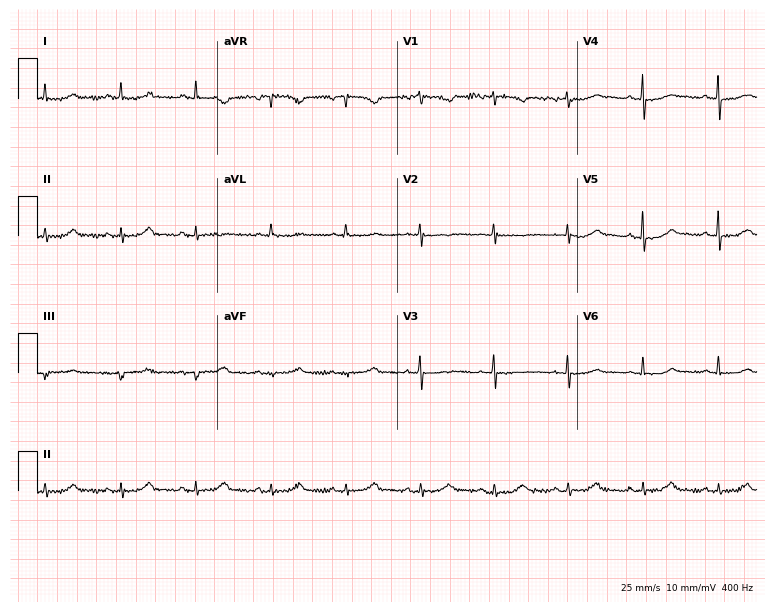
Resting 12-lead electrocardiogram (7.3-second recording at 400 Hz). Patient: a 70-year-old female. None of these six findings is recorded: first-degree AV block, right bundle branch block, left bundle branch block, sinus bradycardia, atrial fibrillation, sinus tachycardia. Only these six findings were labelled.